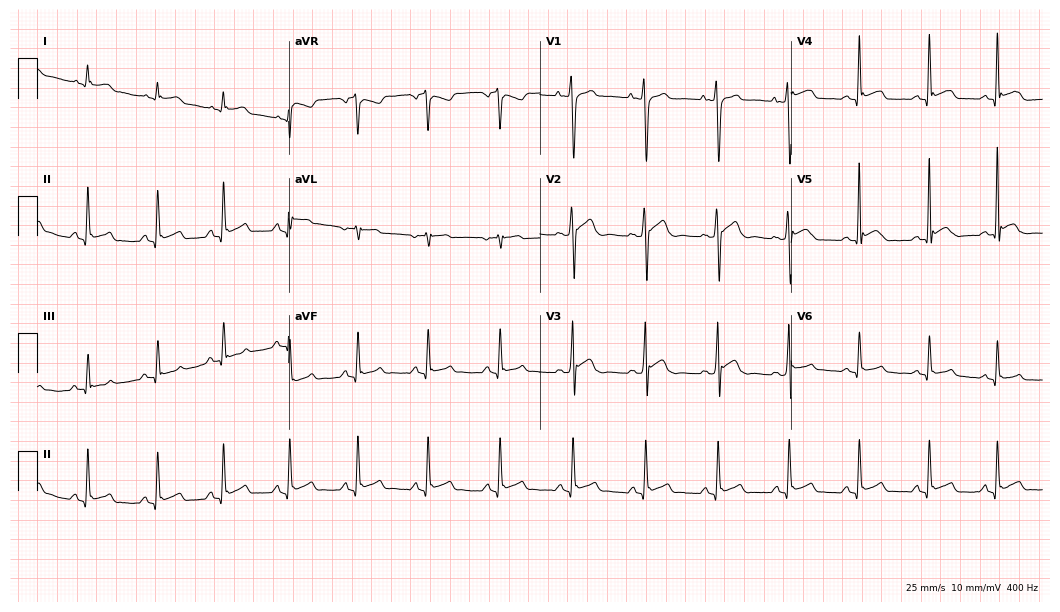
12-lead ECG from an 18-year-old male. Recorded interpretation: within normal limits.